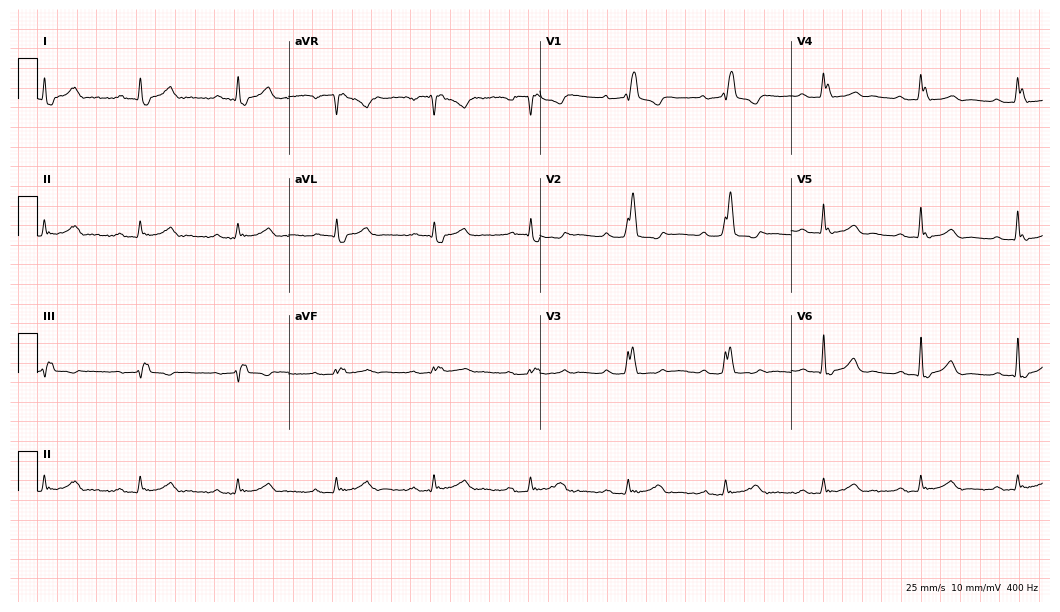
Electrocardiogram, a 71-year-old man. Interpretation includes first-degree AV block, right bundle branch block.